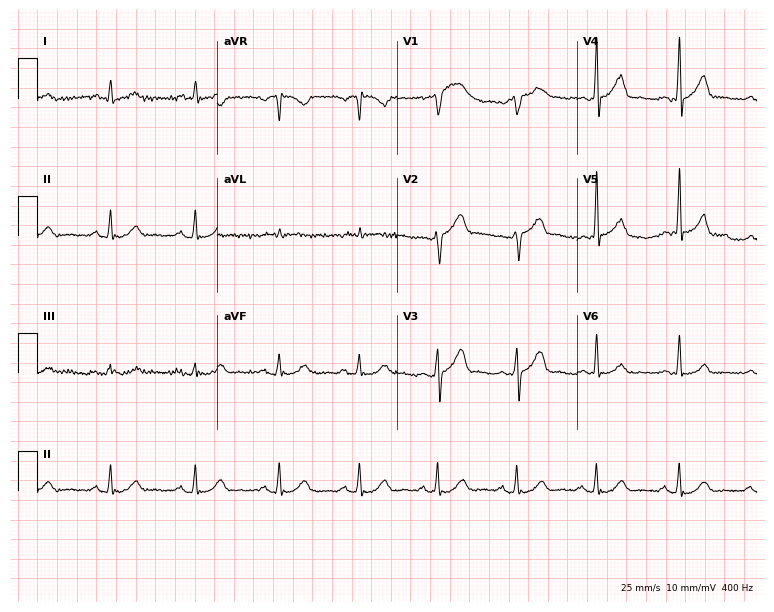
12-lead ECG from a 65-year-old male (7.3-second recording at 400 Hz). No first-degree AV block, right bundle branch block (RBBB), left bundle branch block (LBBB), sinus bradycardia, atrial fibrillation (AF) or sinus tachycardia recorded for this tracing. Findings outside these six are not listed.